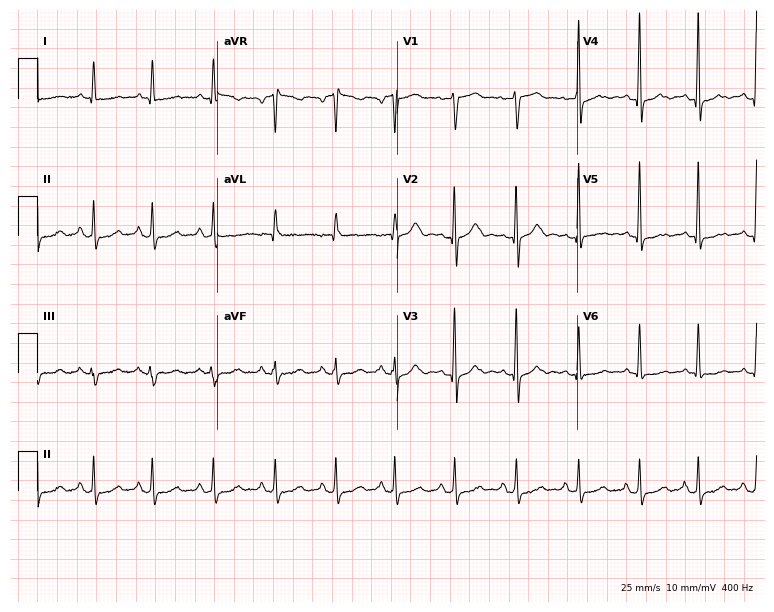
Electrocardiogram (7.3-second recording at 400 Hz), a 55-year-old woman. Of the six screened findings (first-degree AV block, right bundle branch block, left bundle branch block, sinus bradycardia, atrial fibrillation, sinus tachycardia), none is recorded. Findings outside these six are not listed.